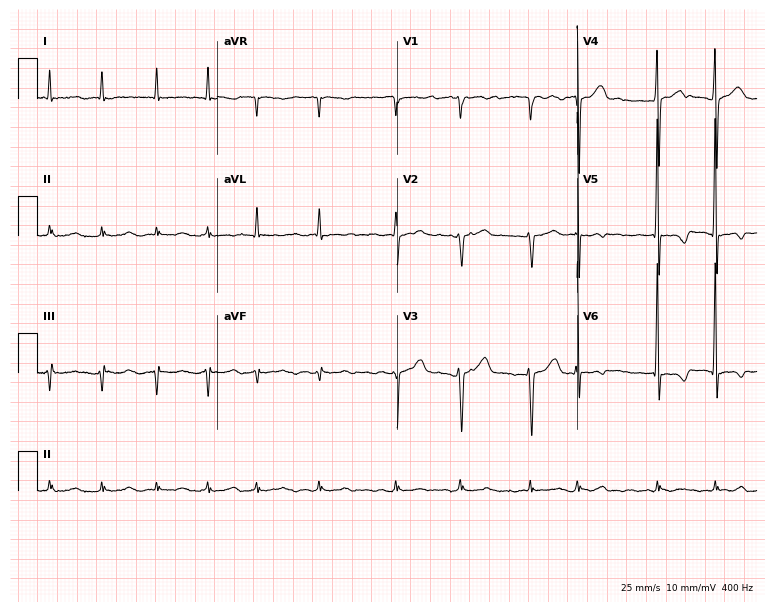
ECG (7.3-second recording at 400 Hz) — a 71-year-old male patient. Findings include atrial fibrillation.